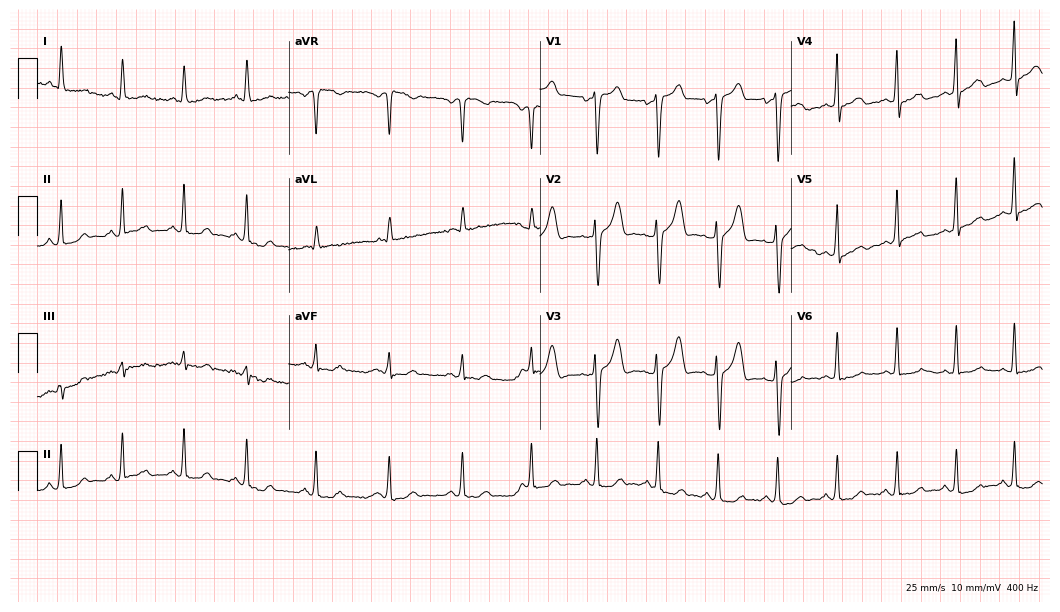
12-lead ECG from a 48-year-old man. No first-degree AV block, right bundle branch block (RBBB), left bundle branch block (LBBB), sinus bradycardia, atrial fibrillation (AF) or sinus tachycardia recorded for this tracing. Findings outside these six are not listed.